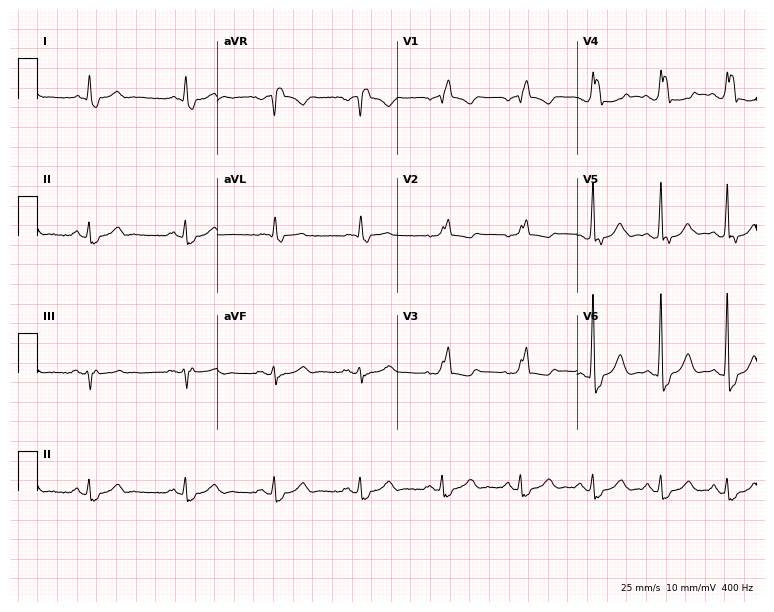
ECG (7.3-second recording at 400 Hz) — a 76-year-old male. Findings include right bundle branch block (RBBB).